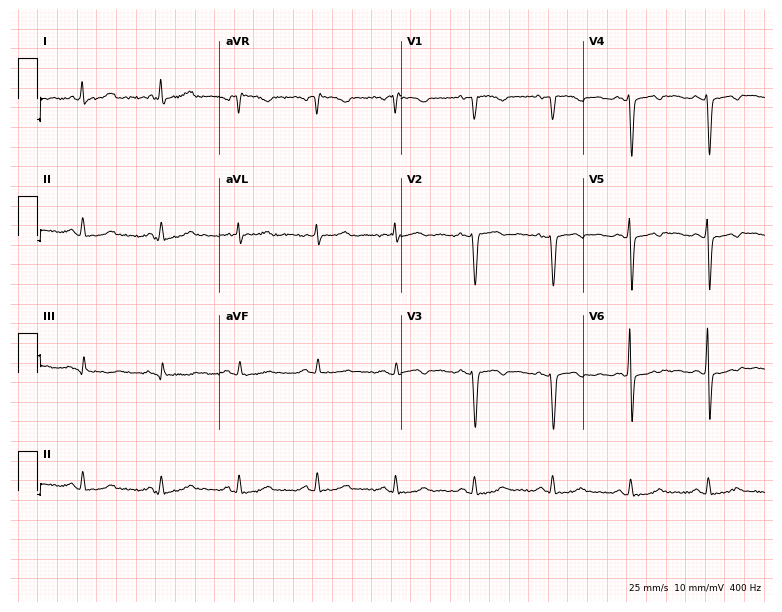
ECG — a female, 53 years old. Screened for six findings — first-degree AV block, right bundle branch block, left bundle branch block, sinus bradycardia, atrial fibrillation, sinus tachycardia — none is recorded.